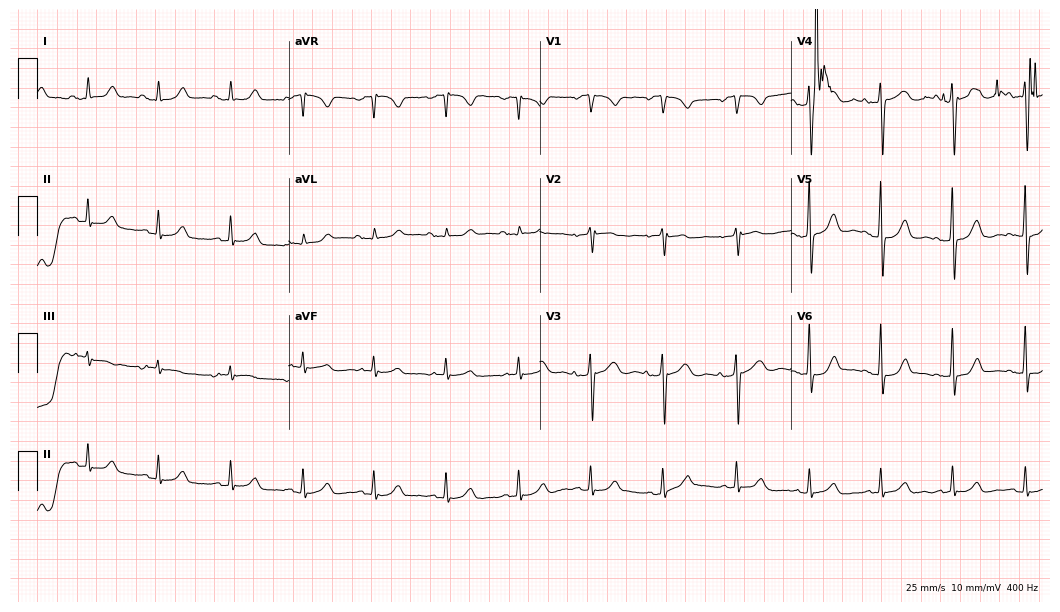
Electrocardiogram (10.2-second recording at 400 Hz), a woman, 76 years old. Overall reading on record: normal ECG.